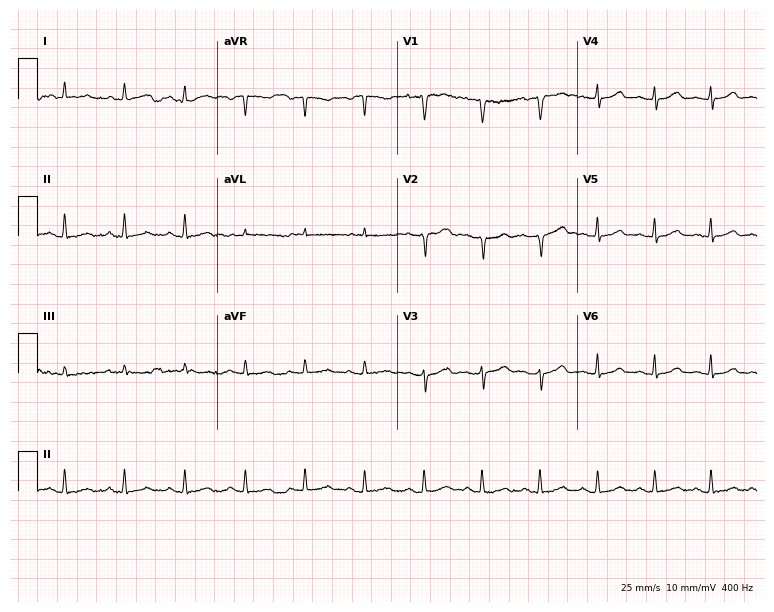
Resting 12-lead electrocardiogram (7.3-second recording at 400 Hz). Patient: a 56-year-old woman. The tracing shows sinus tachycardia (a sinus rate of 100 beats per minute or more).